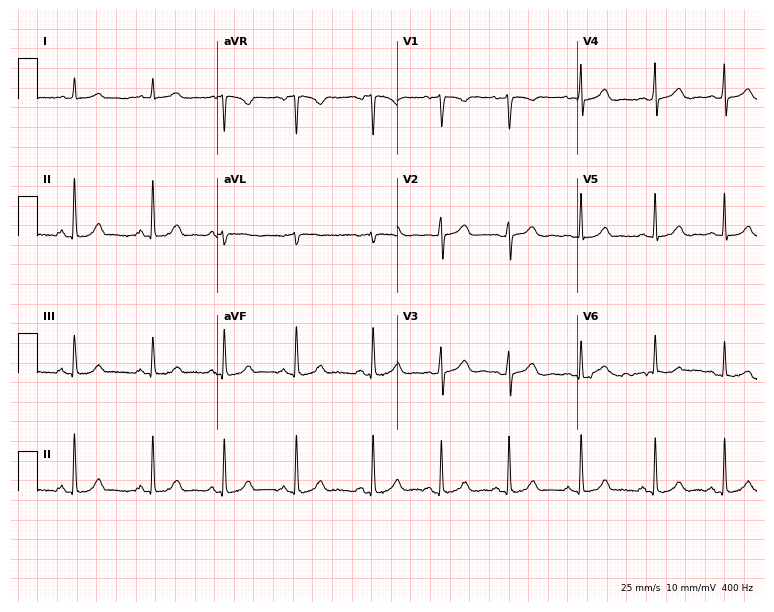
Resting 12-lead electrocardiogram (7.3-second recording at 400 Hz). Patient: a female, 24 years old. Read as a normal ECG.